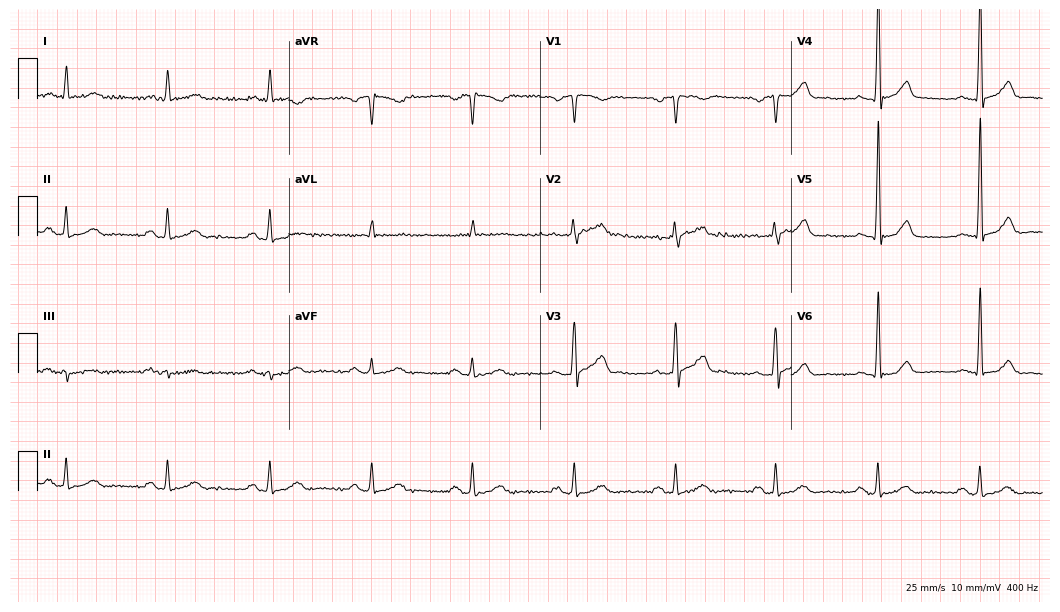
Resting 12-lead electrocardiogram. Patient: a 67-year-old male. None of these six findings is recorded: first-degree AV block, right bundle branch block, left bundle branch block, sinus bradycardia, atrial fibrillation, sinus tachycardia. Only these six findings were labelled.